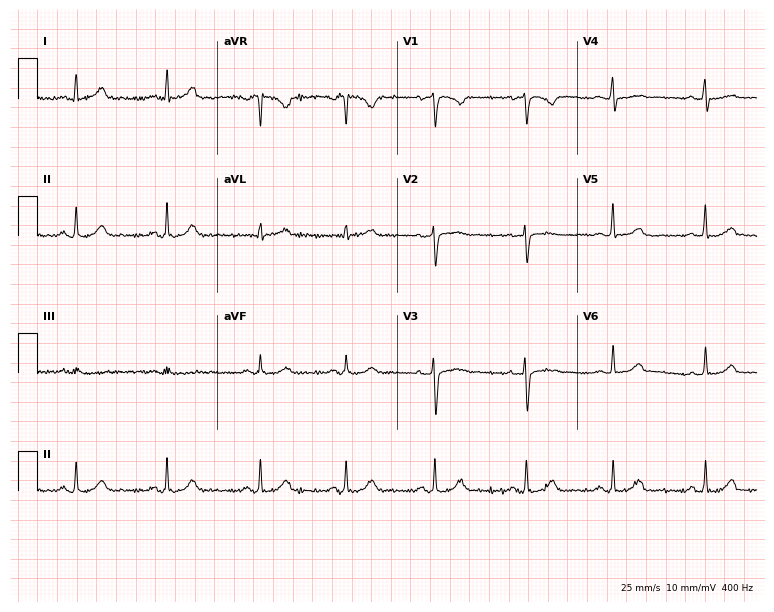
12-lead ECG from a woman, 42 years old. Labelled as a normal ECG.